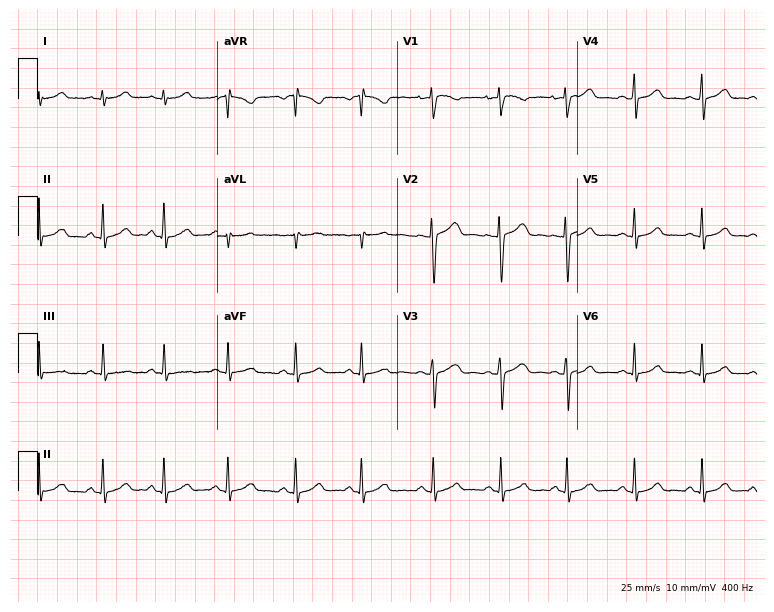
12-lead ECG from a 17-year-old woman. Labelled as a normal ECG.